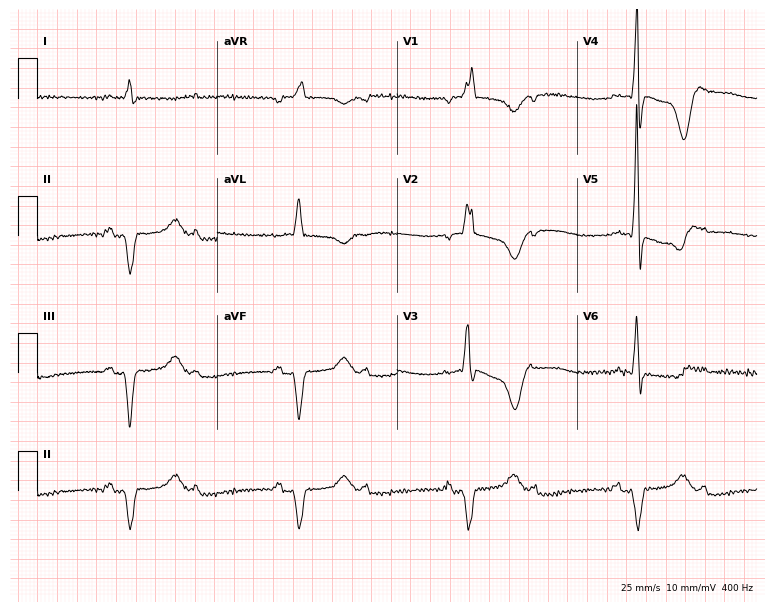
12-lead ECG from a 66-year-old man (7.3-second recording at 400 Hz). Shows first-degree AV block, sinus bradycardia (a sinus rate of 50 beats per minute or less).